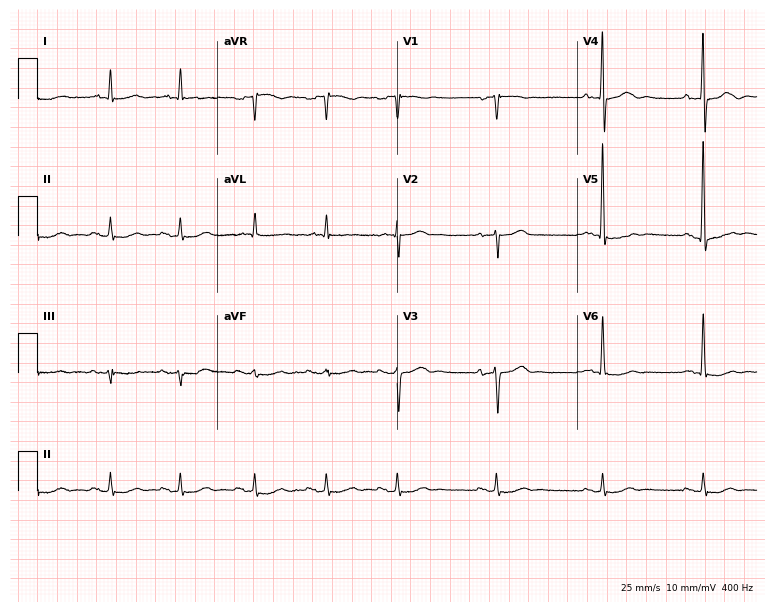
12-lead ECG from a male patient, 74 years old. No first-degree AV block, right bundle branch block, left bundle branch block, sinus bradycardia, atrial fibrillation or sinus tachycardia recorded for this tracing. Findings outside these six are not listed.